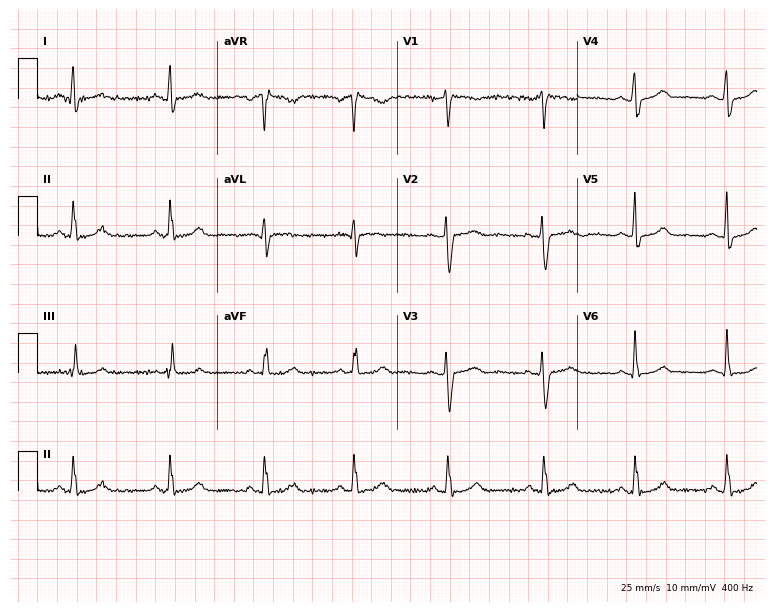
Standard 12-lead ECG recorded from a 43-year-old female patient. None of these six findings is recorded: first-degree AV block, right bundle branch block, left bundle branch block, sinus bradycardia, atrial fibrillation, sinus tachycardia.